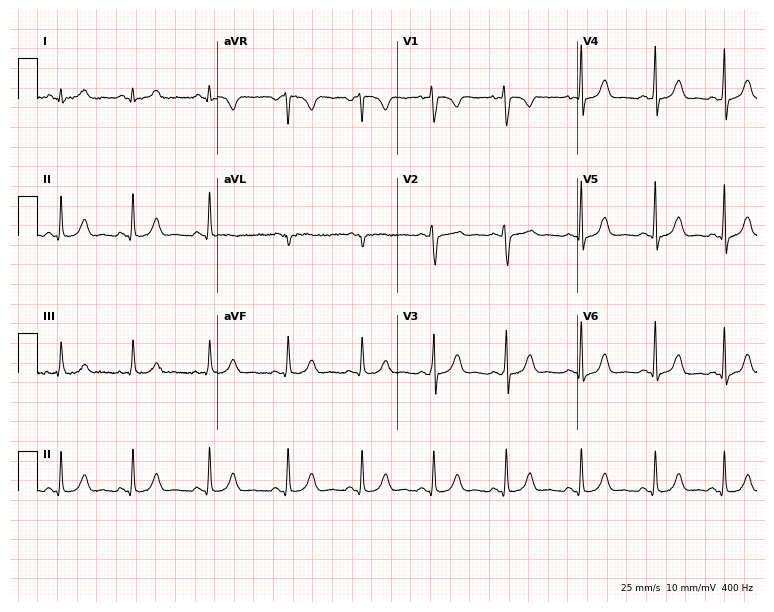
Electrocardiogram, a female, 21 years old. Of the six screened findings (first-degree AV block, right bundle branch block, left bundle branch block, sinus bradycardia, atrial fibrillation, sinus tachycardia), none is recorded. Other findings, if any, are not listed.